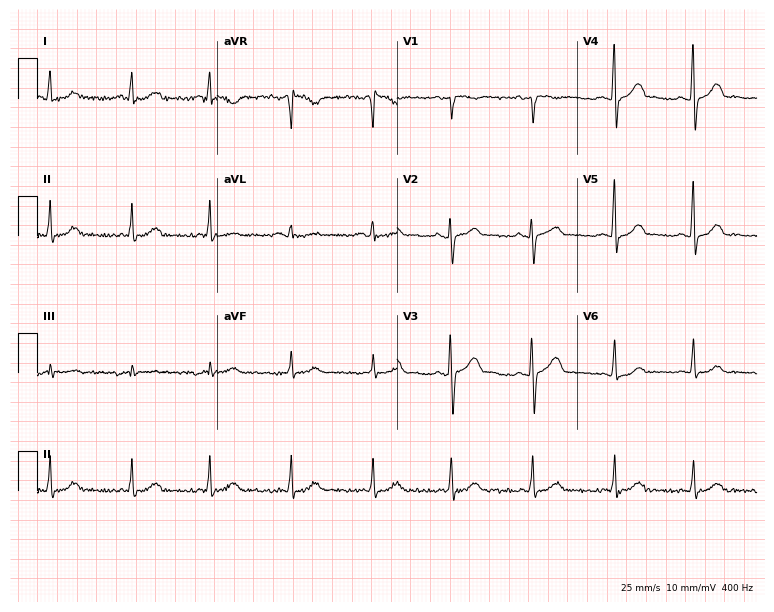
Standard 12-lead ECG recorded from a female patient, 43 years old (7.3-second recording at 400 Hz). None of these six findings is recorded: first-degree AV block, right bundle branch block, left bundle branch block, sinus bradycardia, atrial fibrillation, sinus tachycardia. Findings outside these six are not listed.